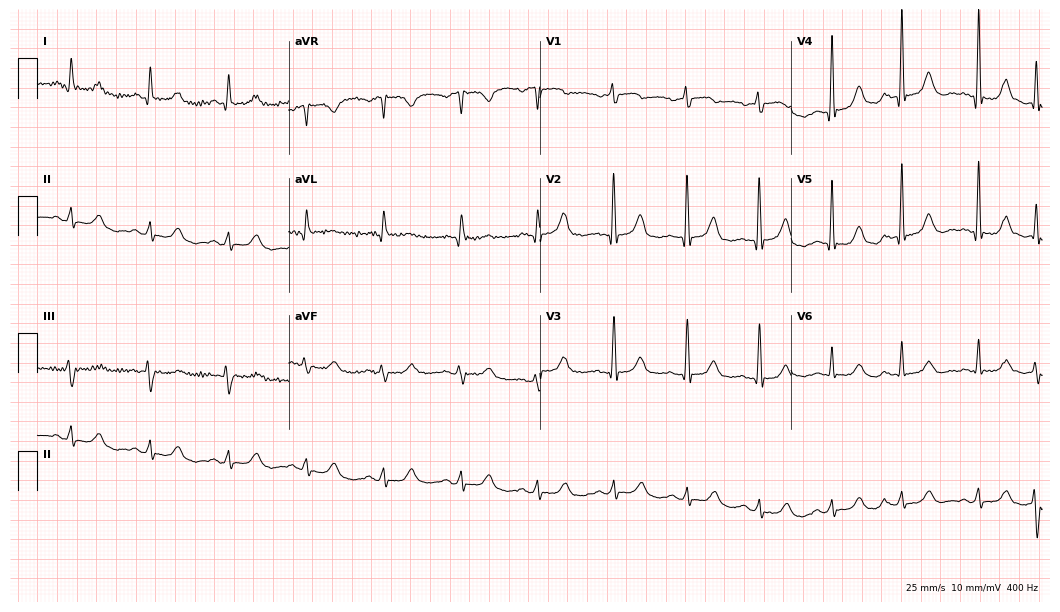
ECG (10.2-second recording at 400 Hz) — a woman, 73 years old. Labelled as a normal ECG.